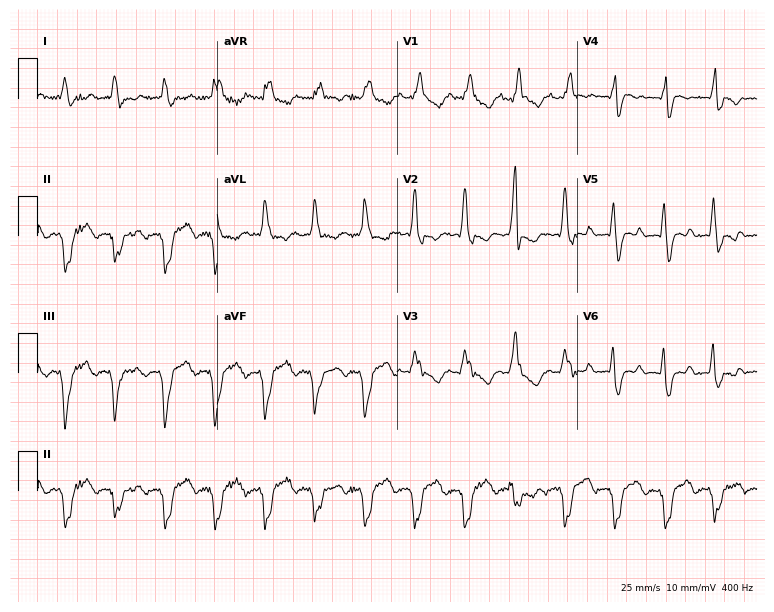
ECG — a male patient, 50 years old. Screened for six findings — first-degree AV block, right bundle branch block (RBBB), left bundle branch block (LBBB), sinus bradycardia, atrial fibrillation (AF), sinus tachycardia — none is recorded. Findings outside these six are not listed.